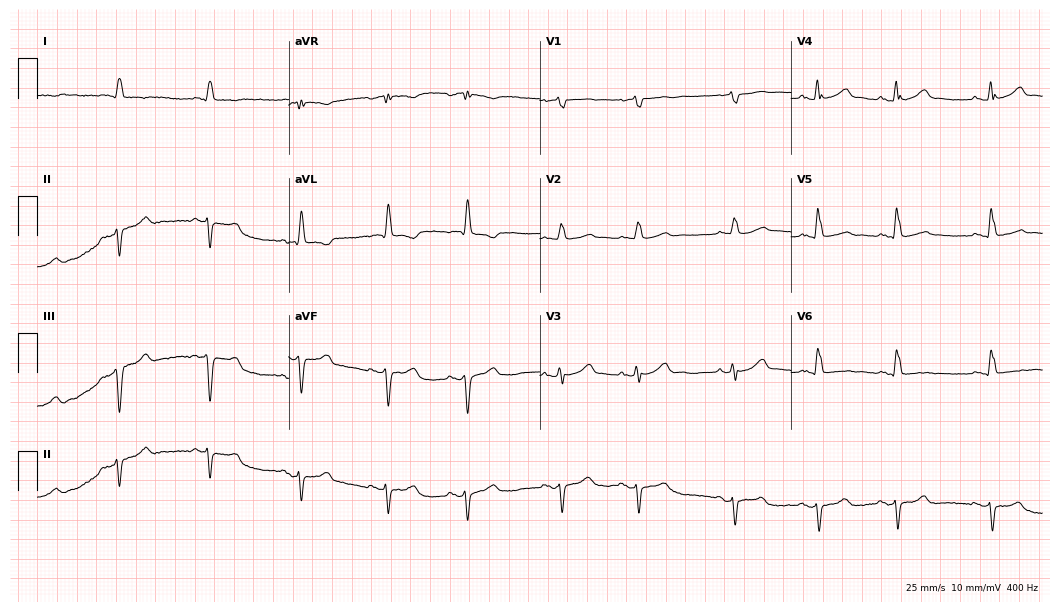
Standard 12-lead ECG recorded from an 81-year-old male patient. None of these six findings is recorded: first-degree AV block, right bundle branch block (RBBB), left bundle branch block (LBBB), sinus bradycardia, atrial fibrillation (AF), sinus tachycardia.